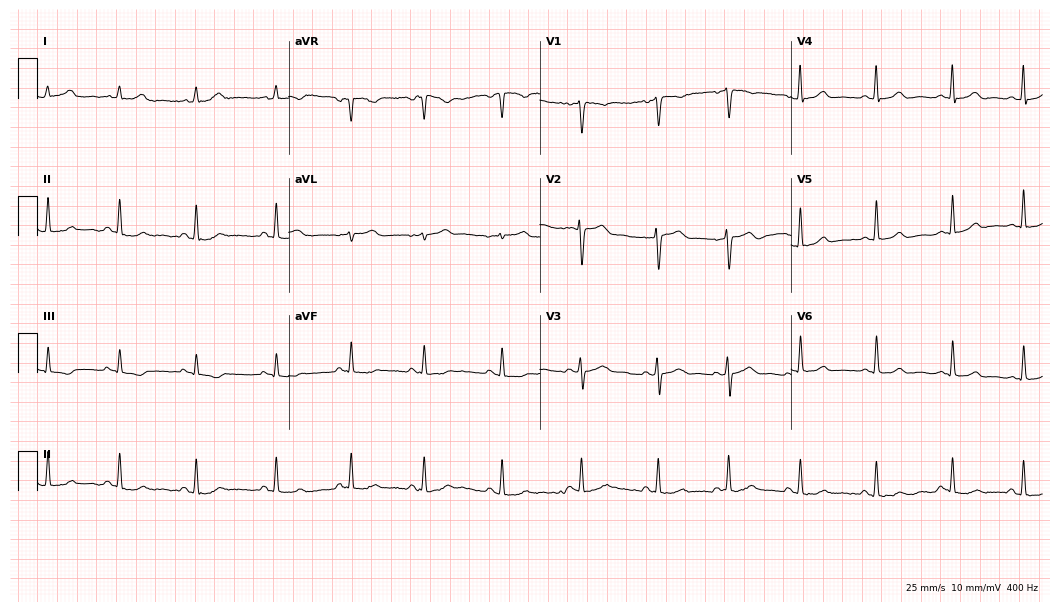
Electrocardiogram (10.2-second recording at 400 Hz), a 28-year-old woman. Overall reading on record: normal ECG.